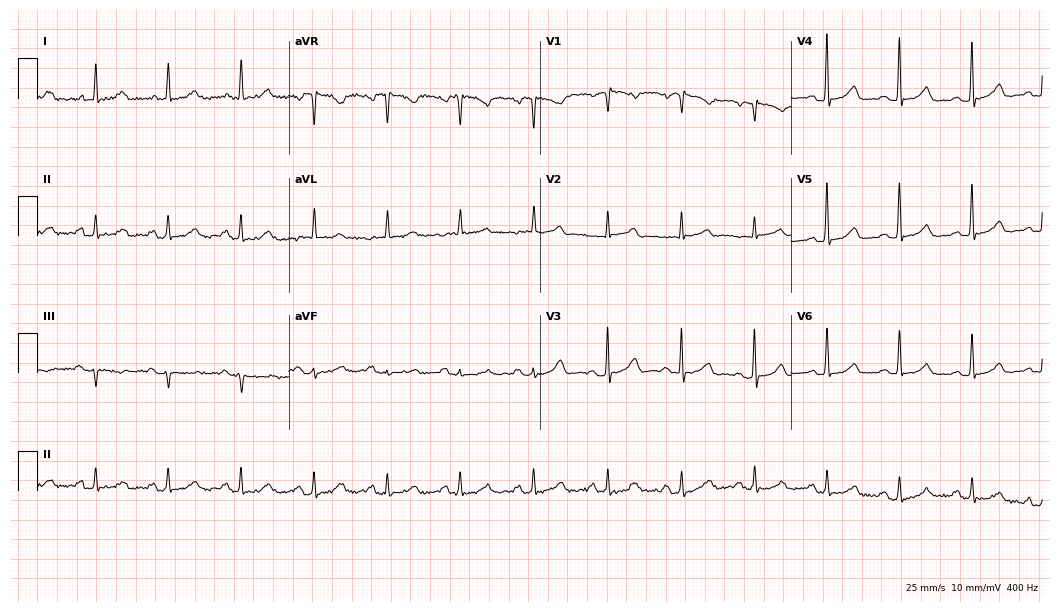
ECG (10.2-second recording at 400 Hz) — a woman, 62 years old. Screened for six findings — first-degree AV block, right bundle branch block (RBBB), left bundle branch block (LBBB), sinus bradycardia, atrial fibrillation (AF), sinus tachycardia — none is recorded.